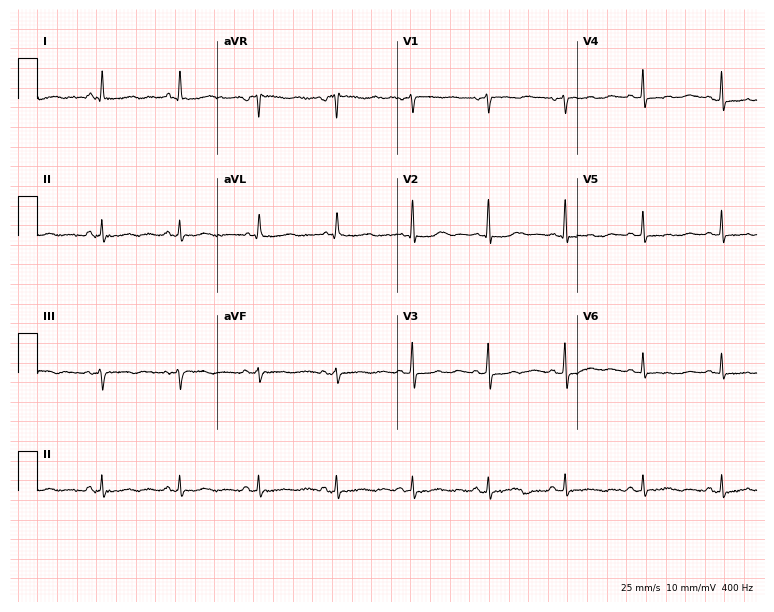
12-lead ECG from an 82-year-old female patient. No first-degree AV block, right bundle branch block, left bundle branch block, sinus bradycardia, atrial fibrillation or sinus tachycardia recorded for this tracing.